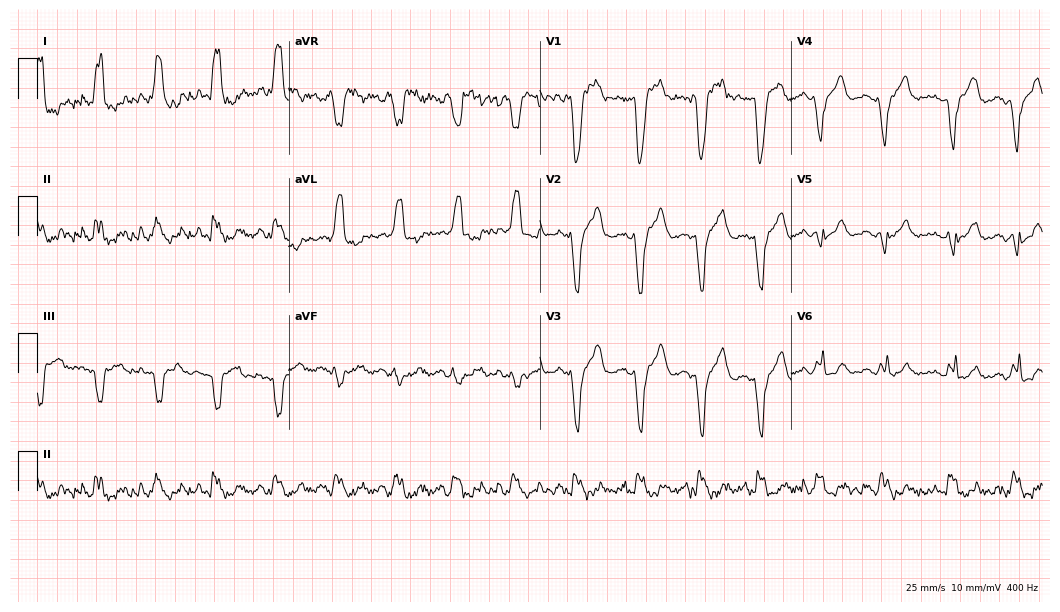
ECG — a 45-year-old woman. Findings include left bundle branch block (LBBB).